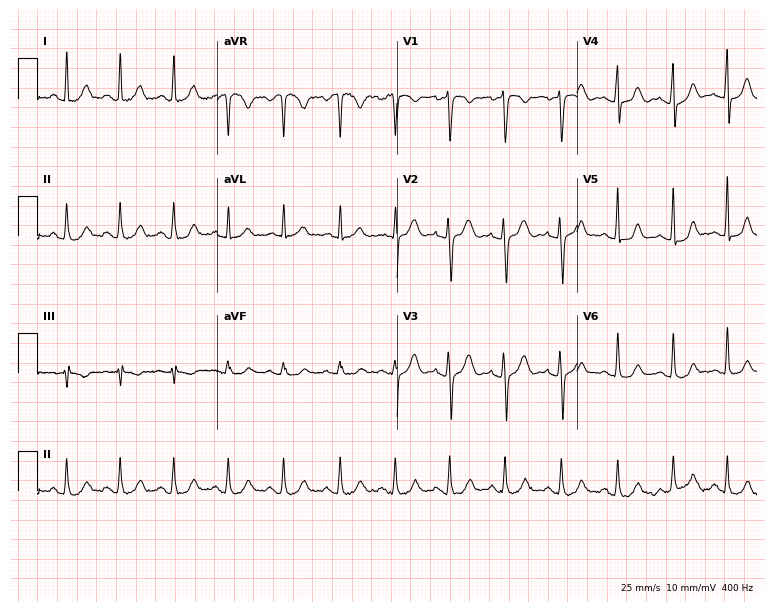
Electrocardiogram, a woman, 34 years old. Of the six screened findings (first-degree AV block, right bundle branch block, left bundle branch block, sinus bradycardia, atrial fibrillation, sinus tachycardia), none is recorded. Other findings, if any, are not listed.